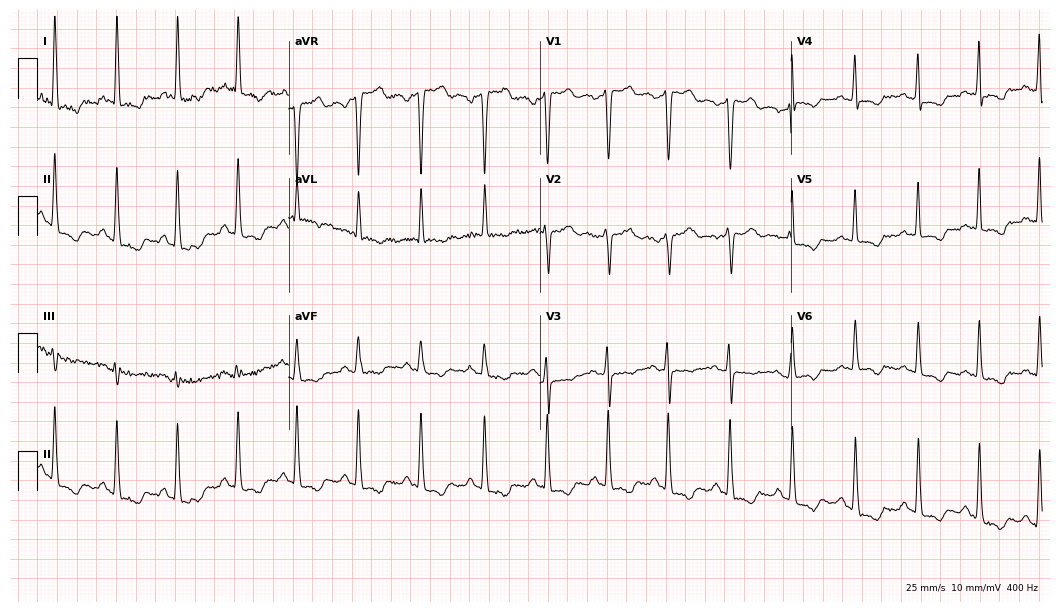
Standard 12-lead ECG recorded from a 43-year-old female patient (10.2-second recording at 400 Hz). None of these six findings is recorded: first-degree AV block, right bundle branch block, left bundle branch block, sinus bradycardia, atrial fibrillation, sinus tachycardia. Other findings, if any, are not listed.